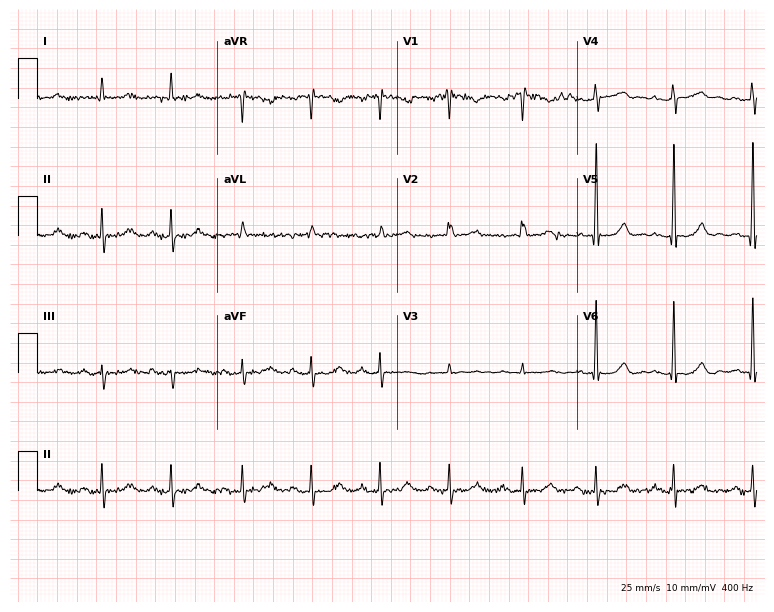
12-lead ECG from a female patient, 64 years old. Recorded interpretation: within normal limits.